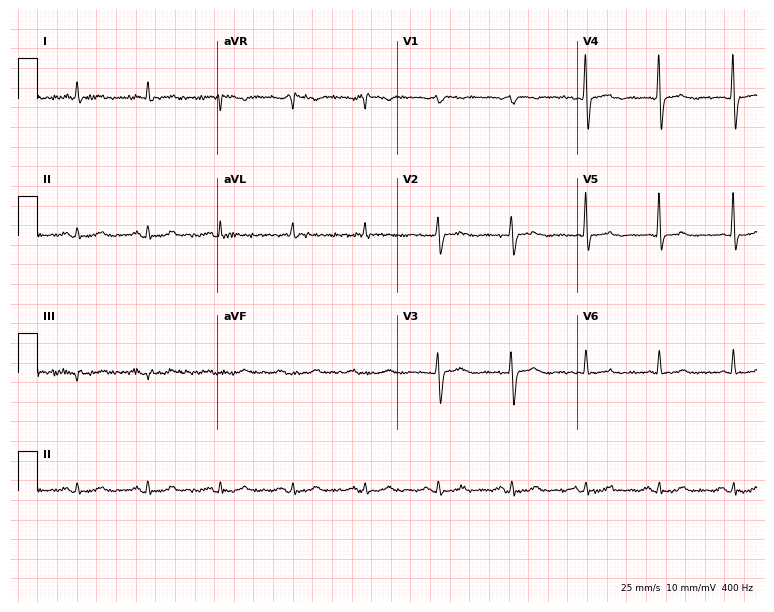
Standard 12-lead ECG recorded from a man, 82 years old. Read as a normal ECG.